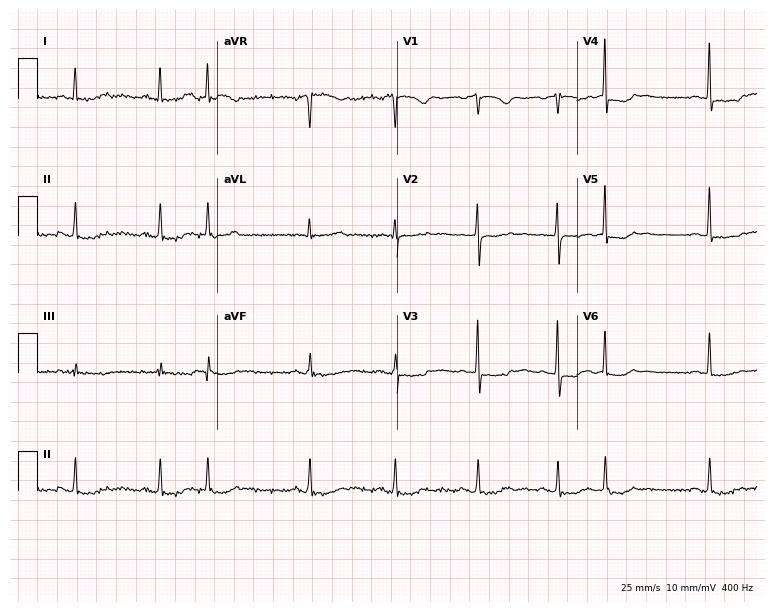
12-lead ECG from a female, 65 years old (7.3-second recording at 400 Hz). No first-degree AV block, right bundle branch block (RBBB), left bundle branch block (LBBB), sinus bradycardia, atrial fibrillation (AF) or sinus tachycardia recorded for this tracing.